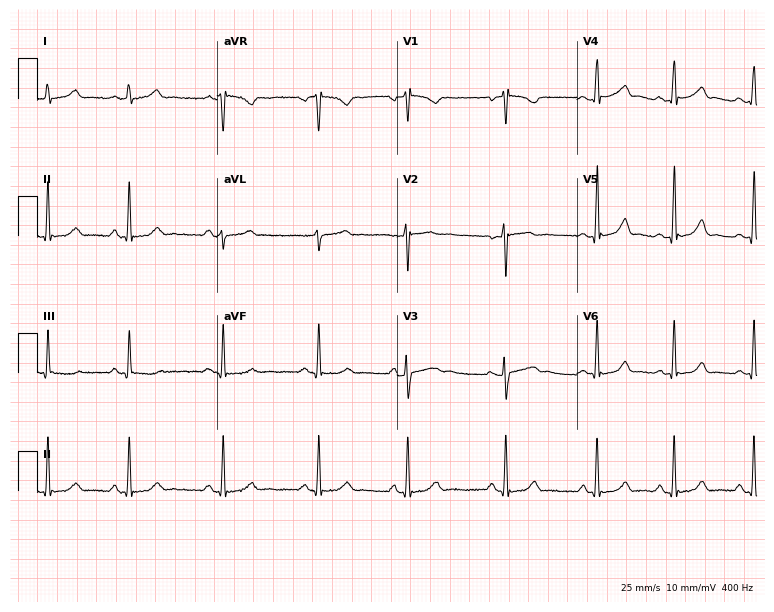
Electrocardiogram (7.3-second recording at 400 Hz), a 21-year-old female. Overall reading on record: normal ECG.